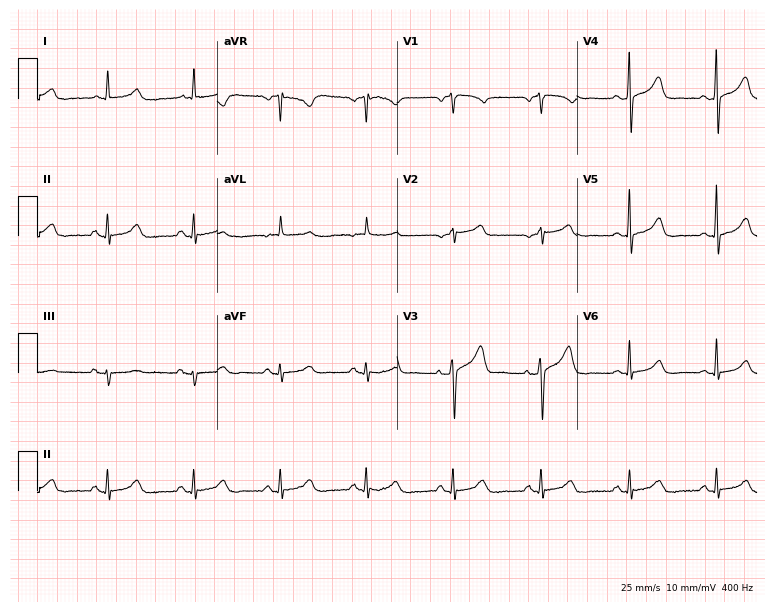
Electrocardiogram (7.3-second recording at 400 Hz), a female patient, 82 years old. Overall reading on record: normal ECG.